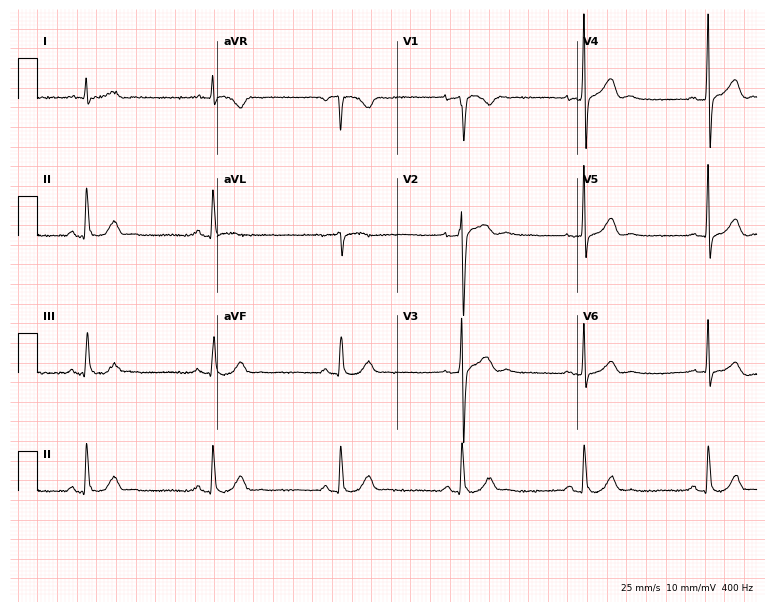
ECG (7.3-second recording at 400 Hz) — a 50-year-old male. Findings include sinus bradycardia (a sinus rate of 50 beats per minute or less).